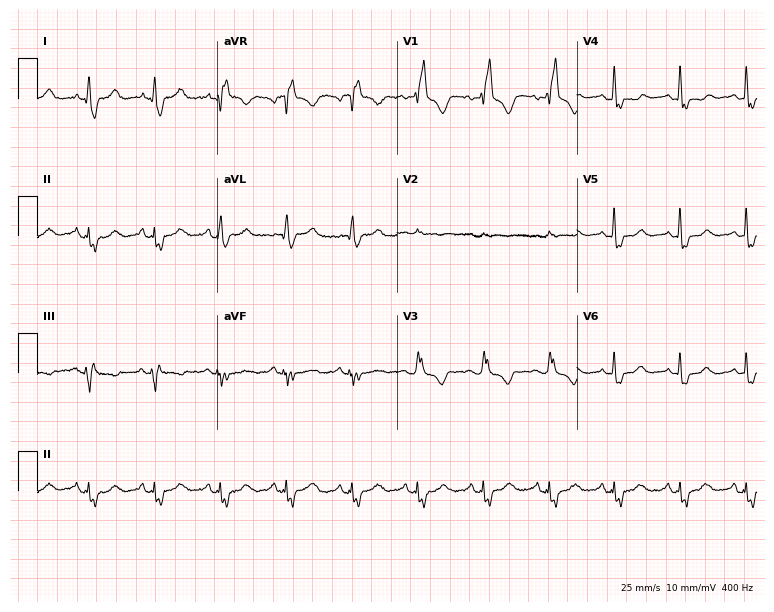
Electrocardiogram (7.3-second recording at 400 Hz), a female patient, 54 years old. Interpretation includes right bundle branch block.